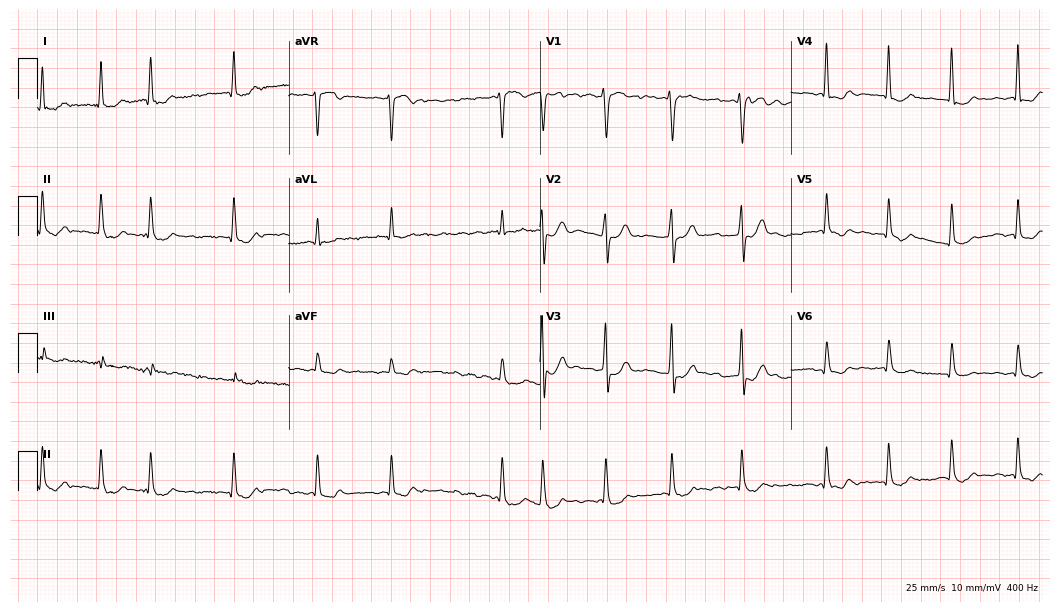
12-lead ECG from a 68-year-old female patient. Shows atrial fibrillation (AF).